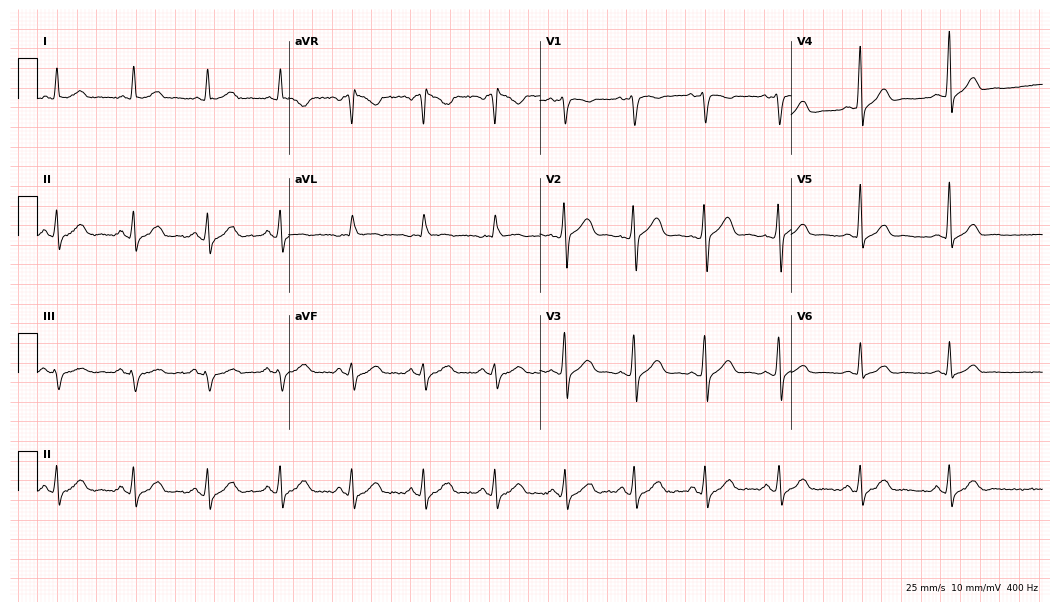
12-lead ECG (10.2-second recording at 400 Hz) from a woman, 39 years old. Screened for six findings — first-degree AV block, right bundle branch block, left bundle branch block, sinus bradycardia, atrial fibrillation, sinus tachycardia — none is recorded. Other findings, if any, are not listed.